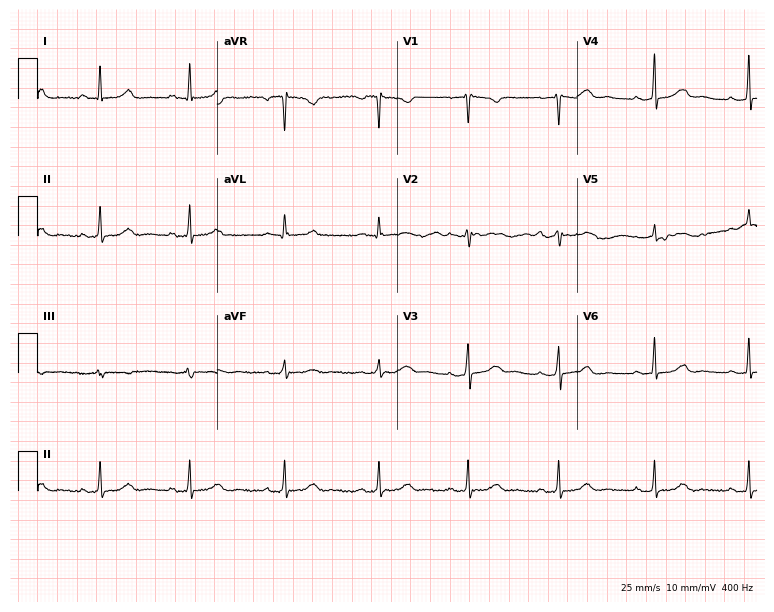
12-lead ECG from a female patient, 43 years old. Labelled as a normal ECG.